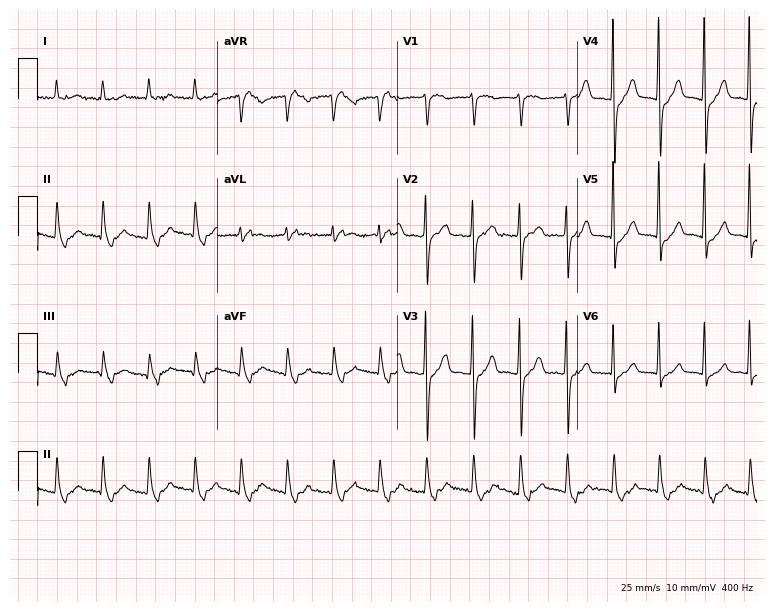
Electrocardiogram (7.3-second recording at 400 Hz), a 68-year-old female. Interpretation includes sinus tachycardia (a sinus rate of 100 beats per minute or more).